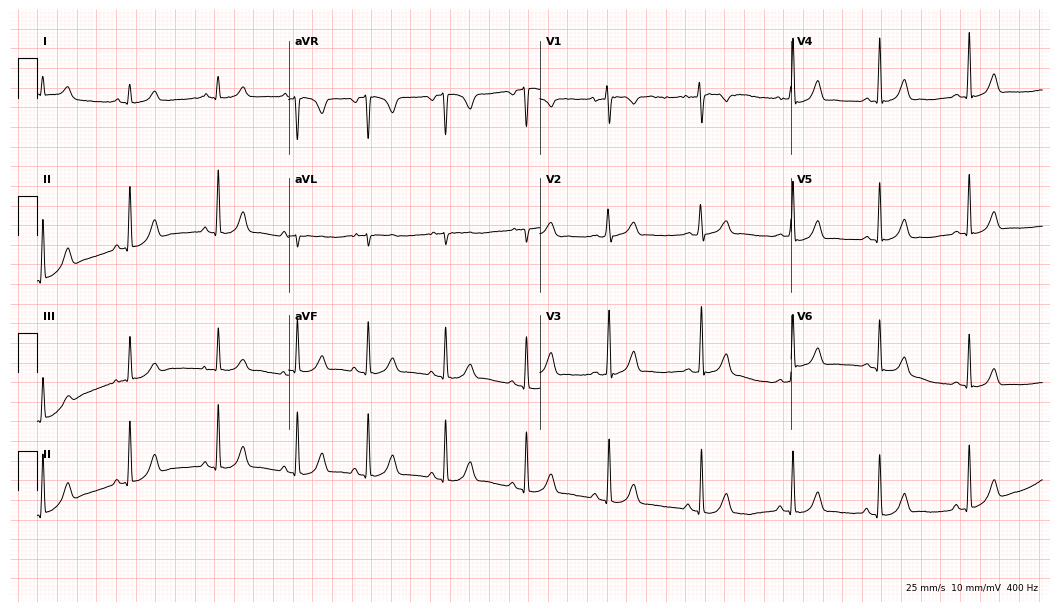
Standard 12-lead ECG recorded from a 22-year-old female patient. Read as a normal ECG.